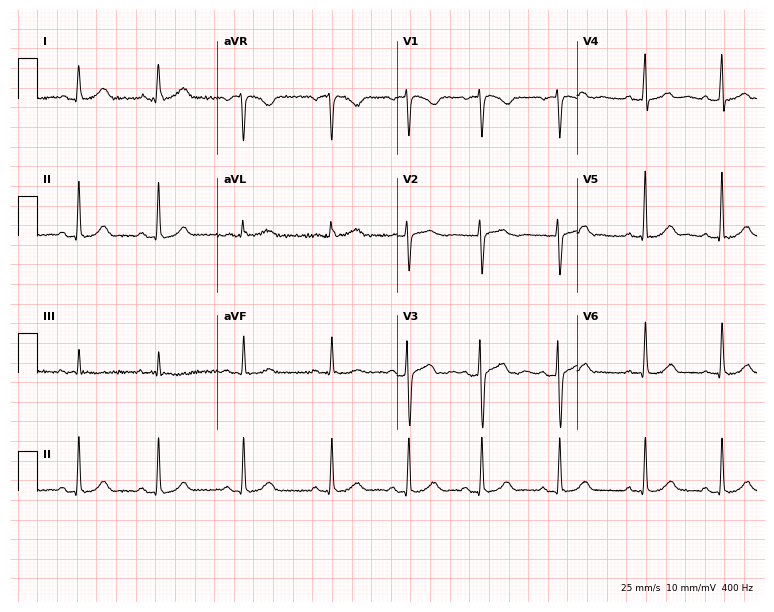
12-lead ECG from a 39-year-old female patient. Recorded interpretation: within normal limits.